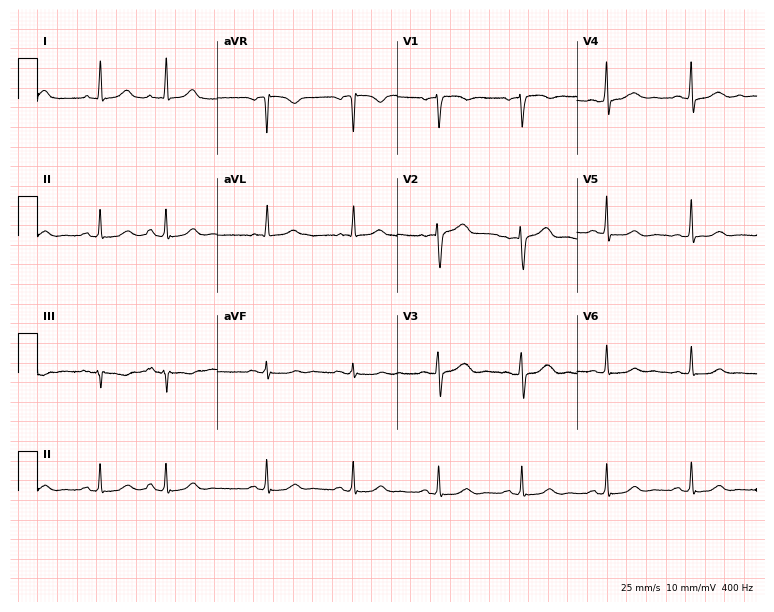
Standard 12-lead ECG recorded from a 47-year-old female (7.3-second recording at 400 Hz). Read as a normal ECG.